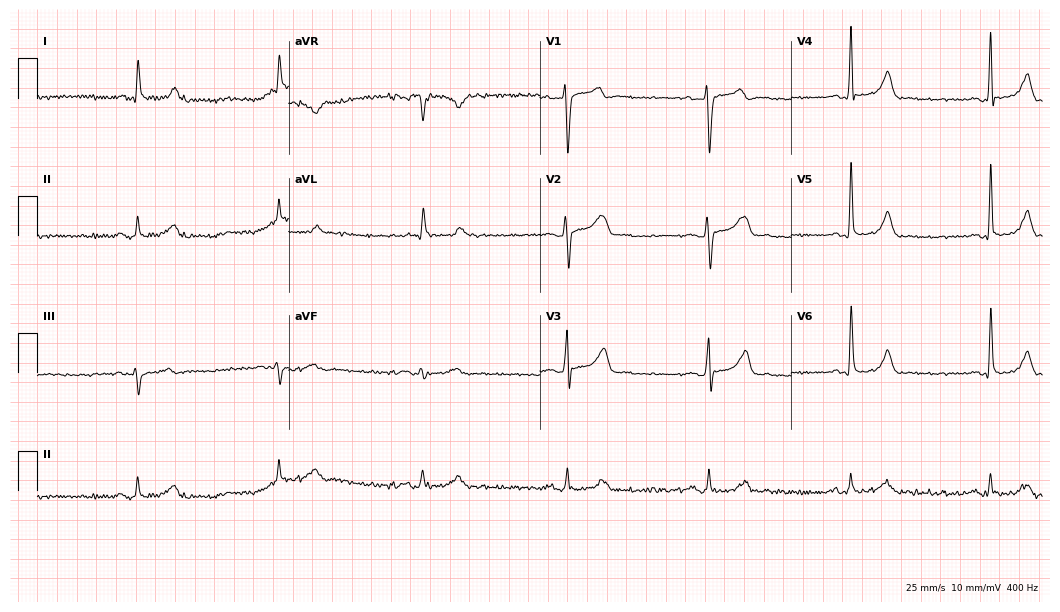
ECG (10.2-second recording at 400 Hz) — a male patient, 64 years old. Findings include sinus bradycardia (a sinus rate of 50 beats per minute or less).